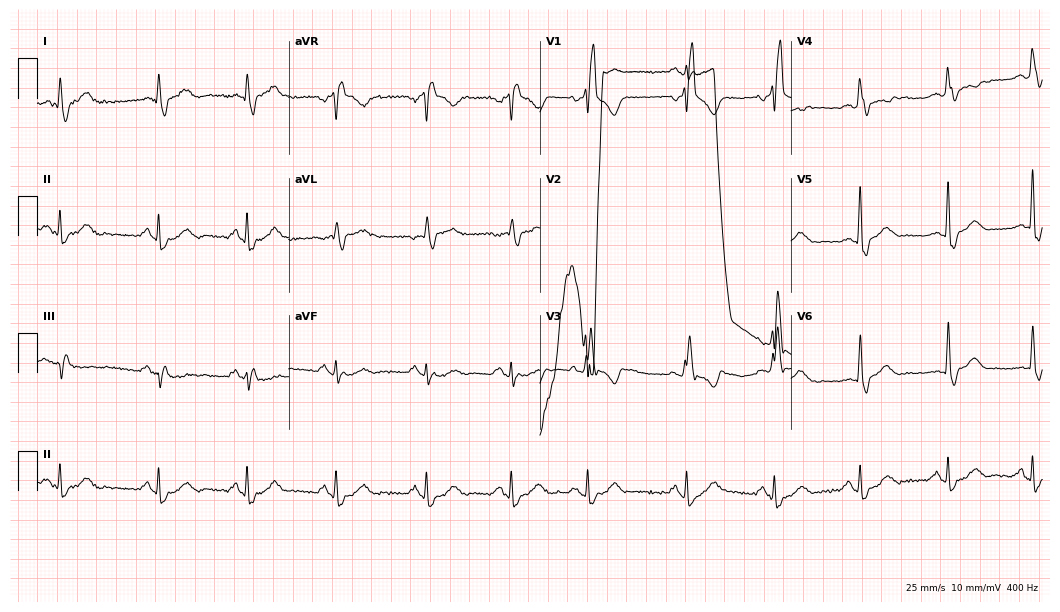
Electrocardiogram (10.2-second recording at 400 Hz), a male, 77 years old. Interpretation includes right bundle branch block (RBBB).